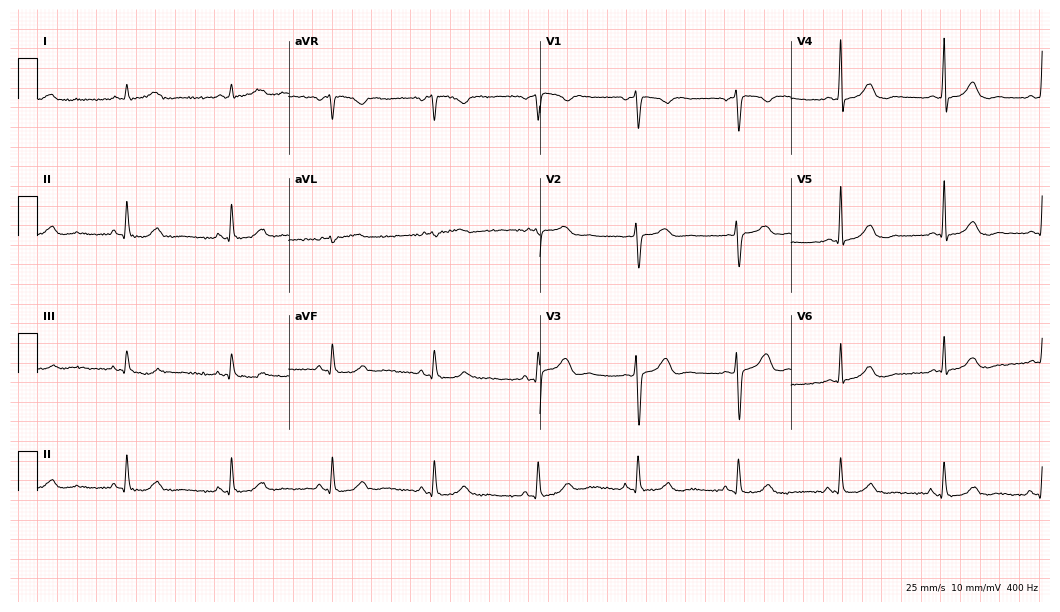
ECG (10.2-second recording at 400 Hz) — a 47-year-old woman. Screened for six findings — first-degree AV block, right bundle branch block (RBBB), left bundle branch block (LBBB), sinus bradycardia, atrial fibrillation (AF), sinus tachycardia — none is recorded.